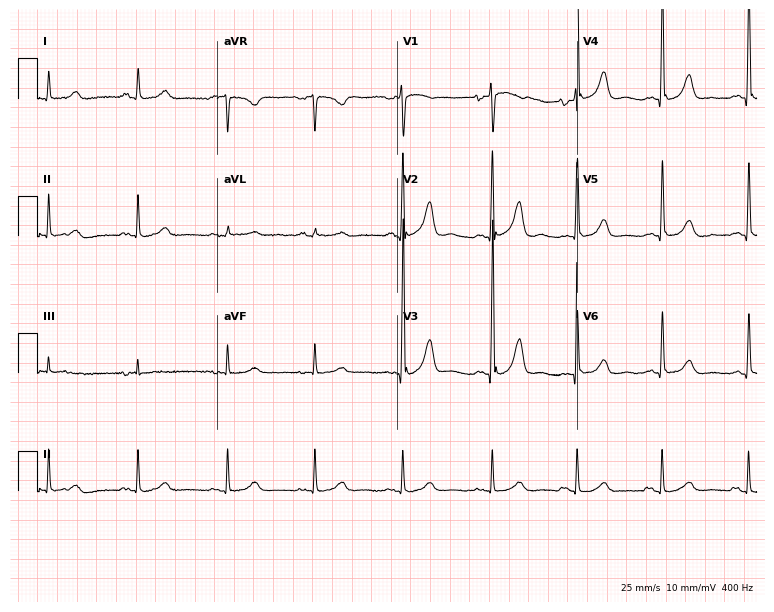
12-lead ECG from a female, 62 years old. Labelled as a normal ECG.